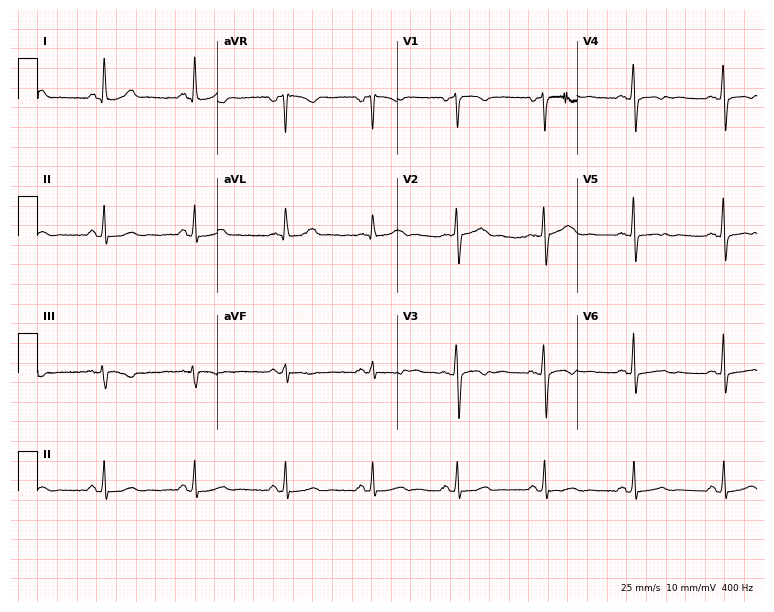
Electrocardiogram, a 56-year-old female. Of the six screened findings (first-degree AV block, right bundle branch block, left bundle branch block, sinus bradycardia, atrial fibrillation, sinus tachycardia), none is recorded. Only these six findings were labelled.